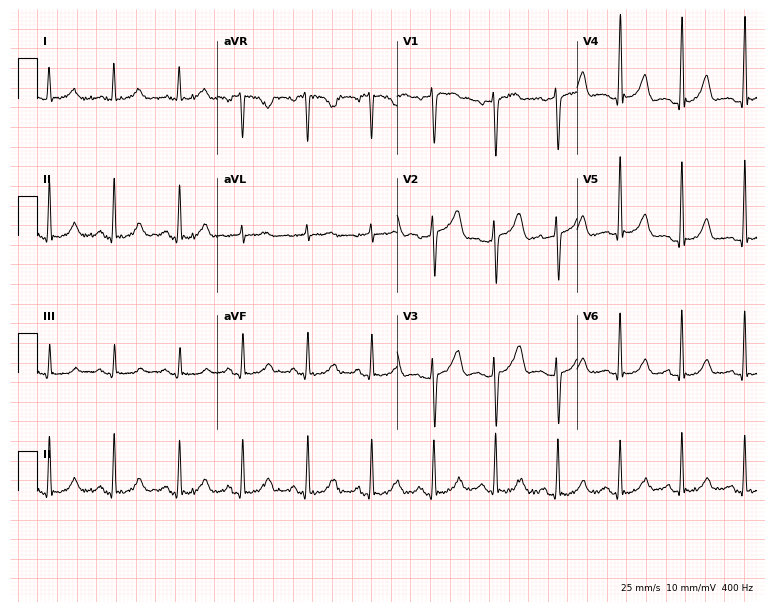
12-lead ECG from a female, 35 years old. Screened for six findings — first-degree AV block, right bundle branch block, left bundle branch block, sinus bradycardia, atrial fibrillation, sinus tachycardia — none is recorded.